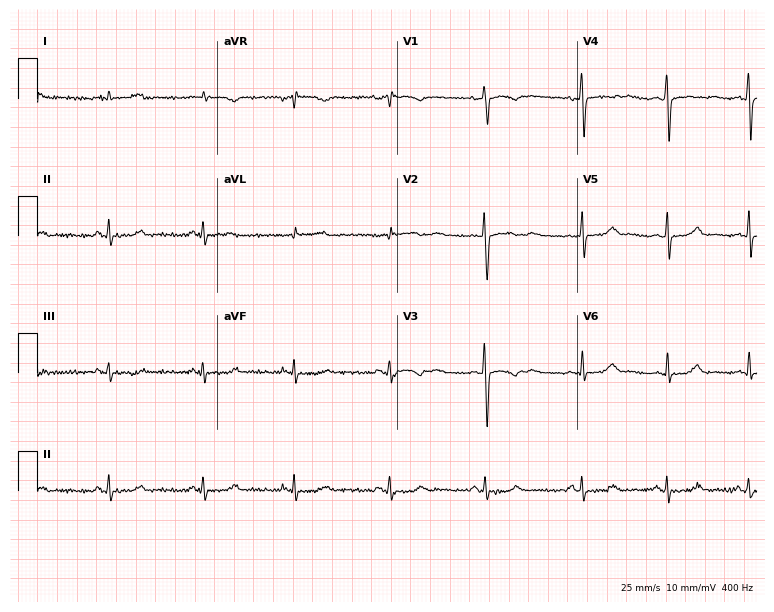
Standard 12-lead ECG recorded from a 25-year-old female. None of these six findings is recorded: first-degree AV block, right bundle branch block, left bundle branch block, sinus bradycardia, atrial fibrillation, sinus tachycardia.